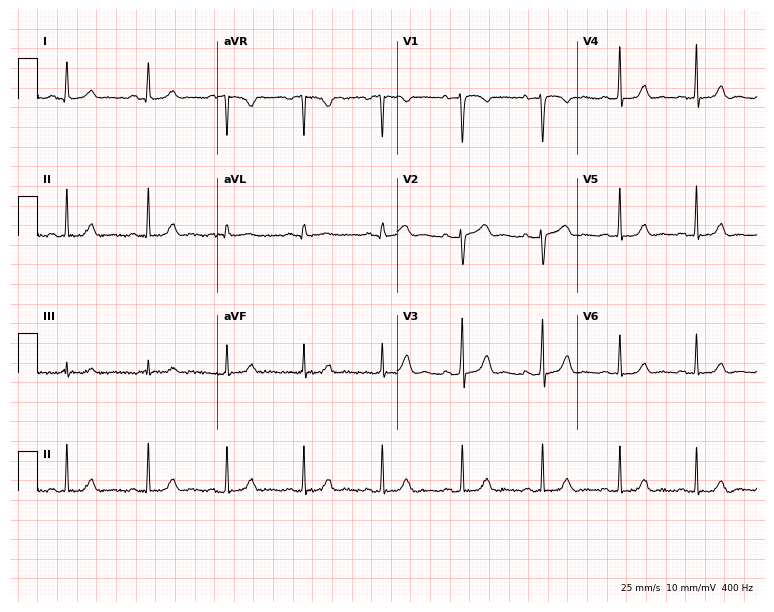
Resting 12-lead electrocardiogram (7.3-second recording at 400 Hz). Patient: a 49-year-old woman. Read as a normal ECG.